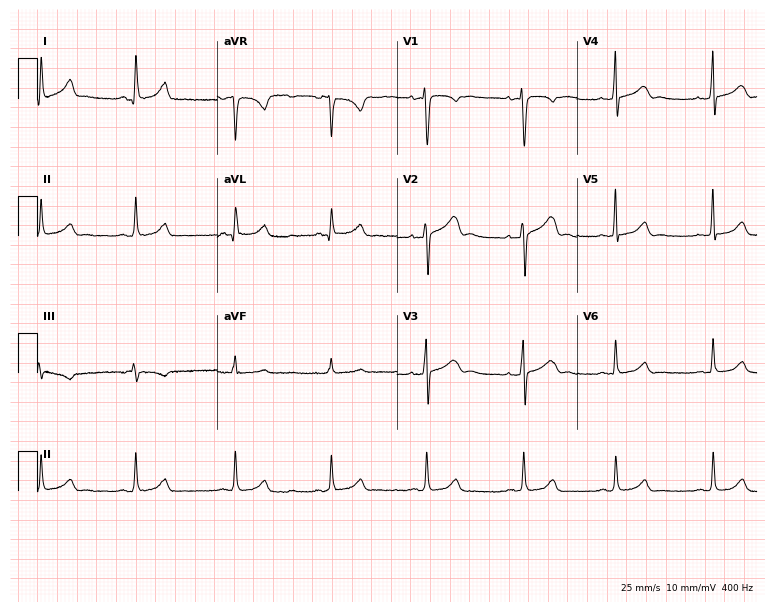
Electrocardiogram, a female patient, 34 years old. Of the six screened findings (first-degree AV block, right bundle branch block, left bundle branch block, sinus bradycardia, atrial fibrillation, sinus tachycardia), none is recorded. Only these six findings were labelled.